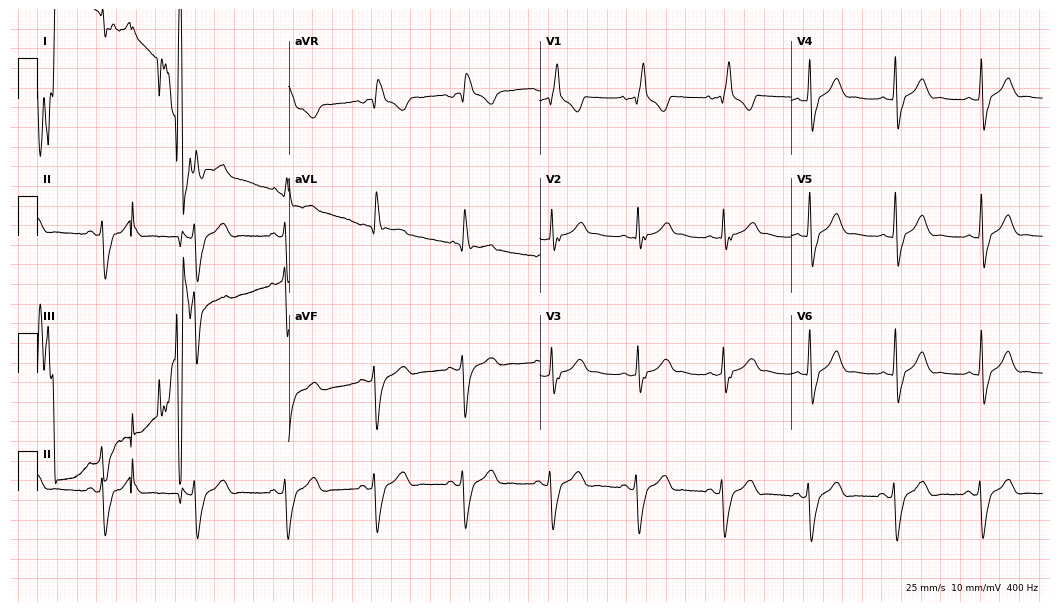
Resting 12-lead electrocardiogram. Patient: a man, 76 years old. The tracing shows right bundle branch block.